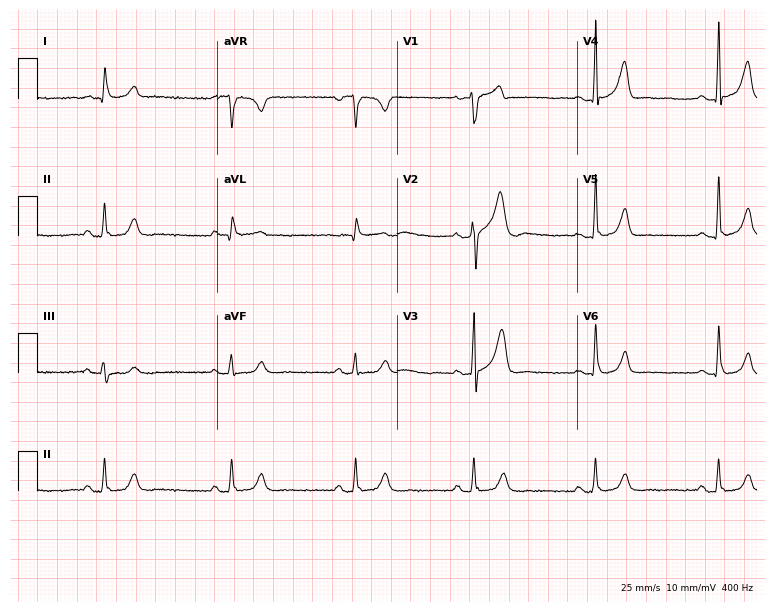
Electrocardiogram (7.3-second recording at 400 Hz), a 49-year-old male. Interpretation includes sinus bradycardia (a sinus rate of 50 beats per minute or less).